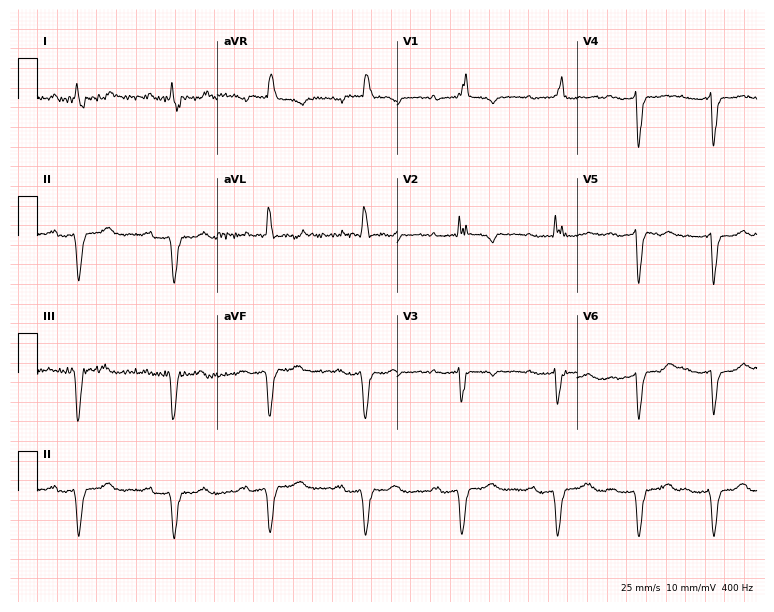
12-lead ECG (7.3-second recording at 400 Hz) from a female patient, 84 years old. Screened for six findings — first-degree AV block, right bundle branch block, left bundle branch block, sinus bradycardia, atrial fibrillation, sinus tachycardia — none is recorded. Other findings, if any, are not listed.